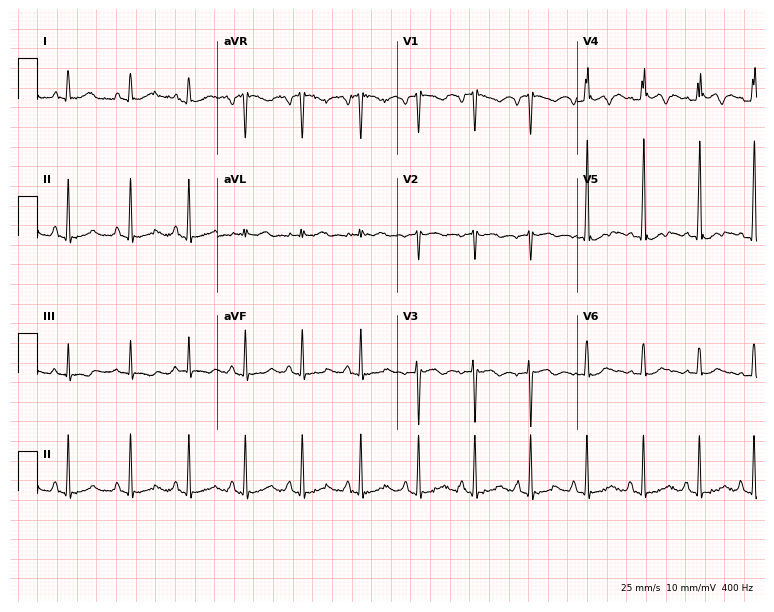
12-lead ECG from a 27-year-old male patient. Findings include sinus tachycardia (a sinus rate of 100 beats per minute or more).